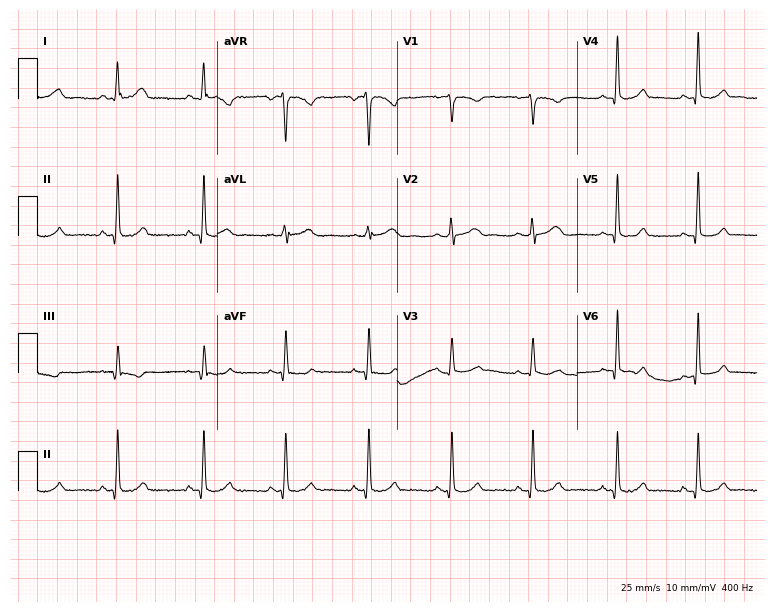
ECG — a female patient, 37 years old. Screened for six findings — first-degree AV block, right bundle branch block, left bundle branch block, sinus bradycardia, atrial fibrillation, sinus tachycardia — none is recorded.